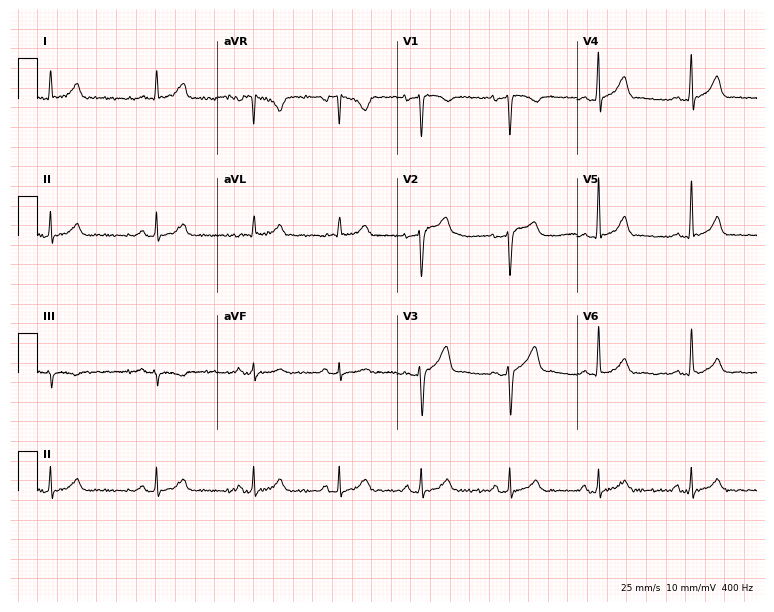
12-lead ECG from a 28-year-old man (7.3-second recording at 400 Hz). Recorded interpretation: within normal limits.